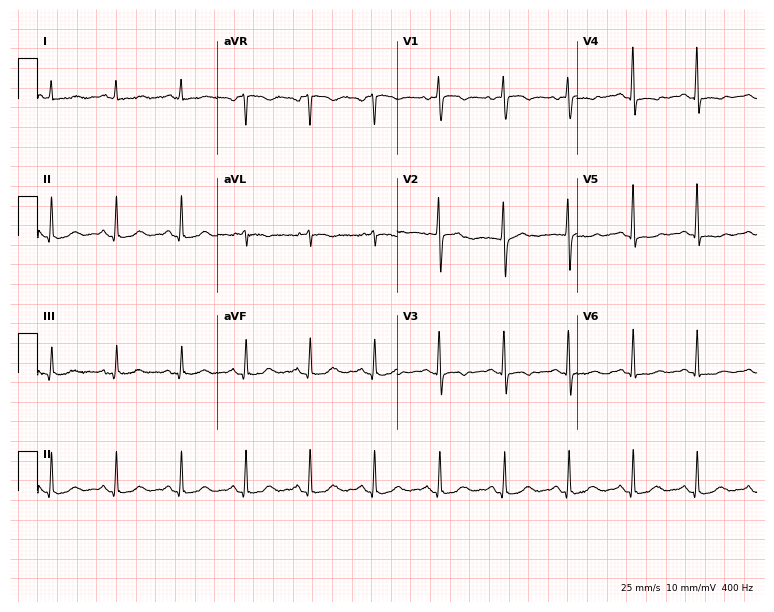
Standard 12-lead ECG recorded from a female patient, 63 years old (7.3-second recording at 400 Hz). None of these six findings is recorded: first-degree AV block, right bundle branch block (RBBB), left bundle branch block (LBBB), sinus bradycardia, atrial fibrillation (AF), sinus tachycardia. Findings outside these six are not listed.